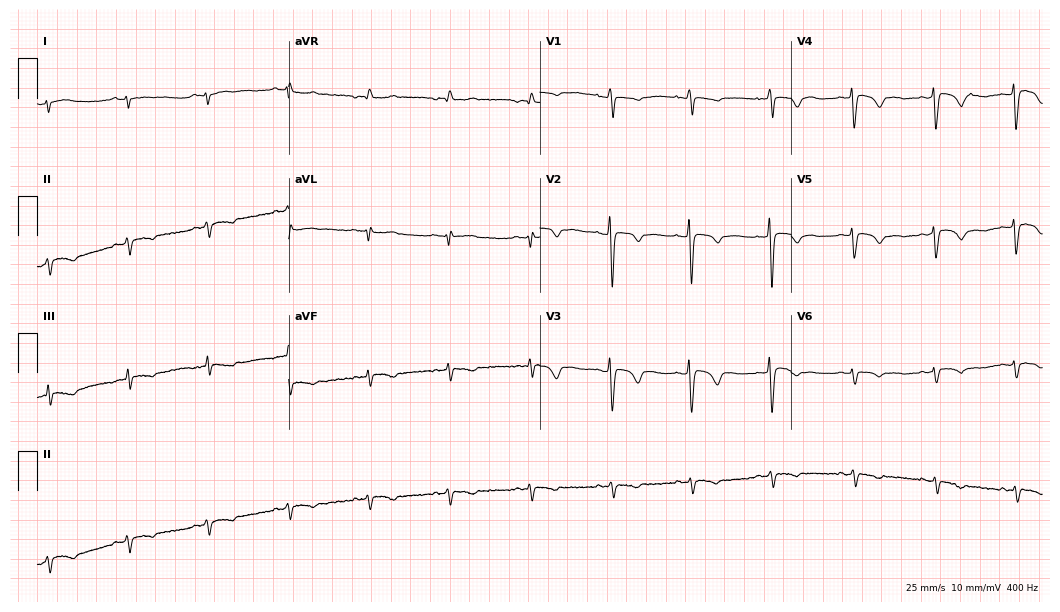
12-lead ECG from a 40-year-old female patient. No first-degree AV block, right bundle branch block (RBBB), left bundle branch block (LBBB), sinus bradycardia, atrial fibrillation (AF) or sinus tachycardia recorded for this tracing. Findings outside these six are not listed.